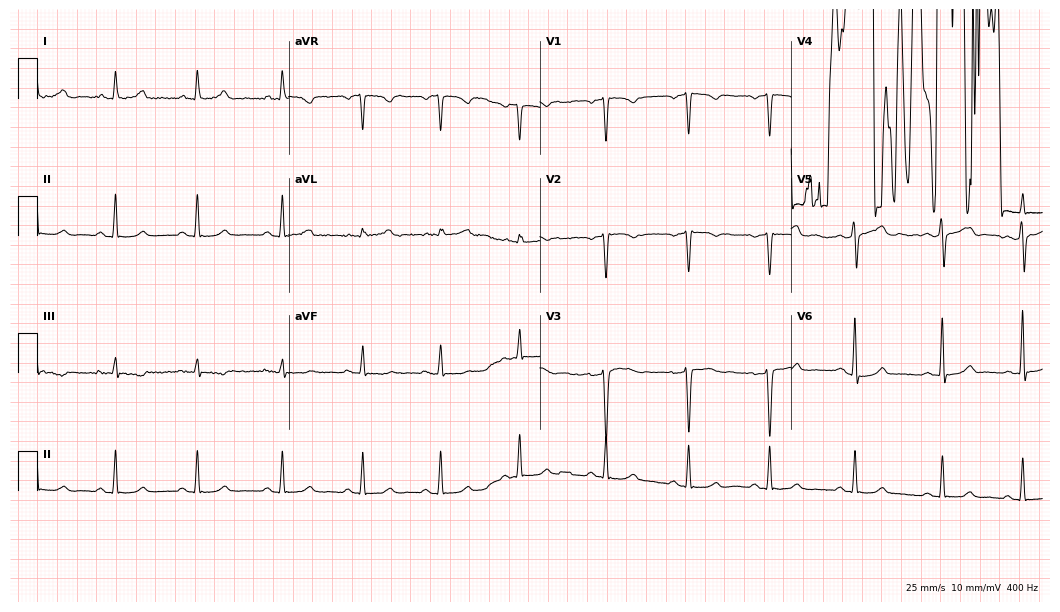
12-lead ECG from a 37-year-old female patient. No first-degree AV block, right bundle branch block, left bundle branch block, sinus bradycardia, atrial fibrillation or sinus tachycardia recorded for this tracing. Findings outside these six are not listed.